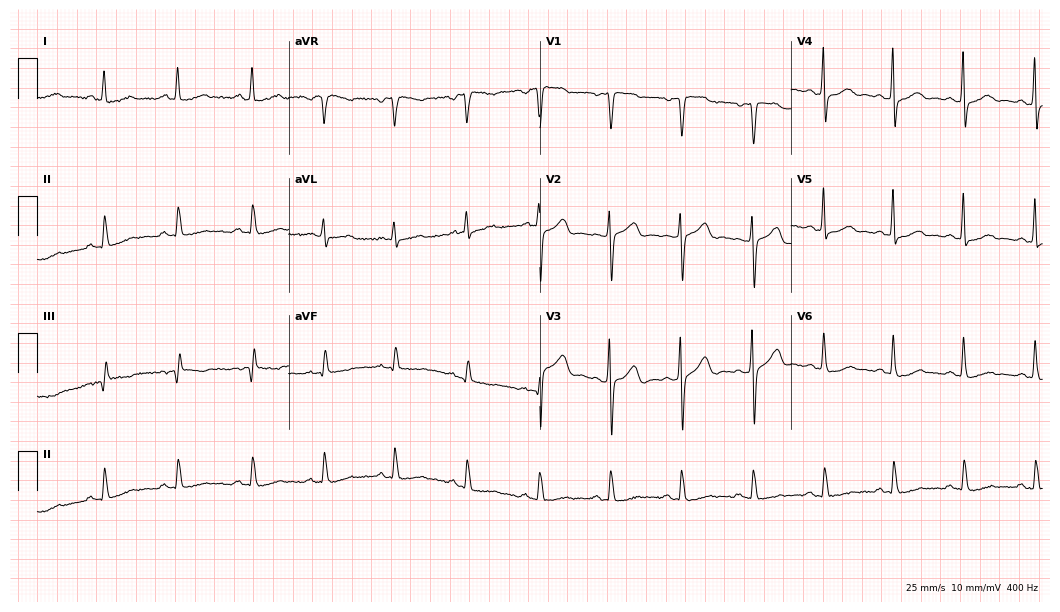
12-lead ECG from a 37-year-old female patient. Screened for six findings — first-degree AV block, right bundle branch block, left bundle branch block, sinus bradycardia, atrial fibrillation, sinus tachycardia — none is recorded.